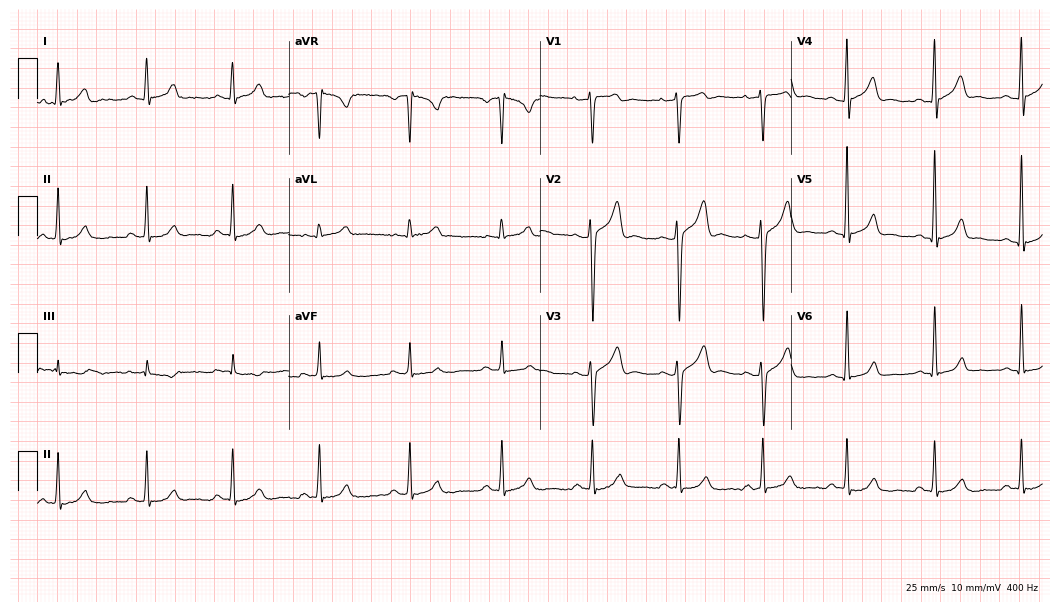
Electrocardiogram (10.2-second recording at 400 Hz), a woman, 36 years old. Of the six screened findings (first-degree AV block, right bundle branch block, left bundle branch block, sinus bradycardia, atrial fibrillation, sinus tachycardia), none is recorded.